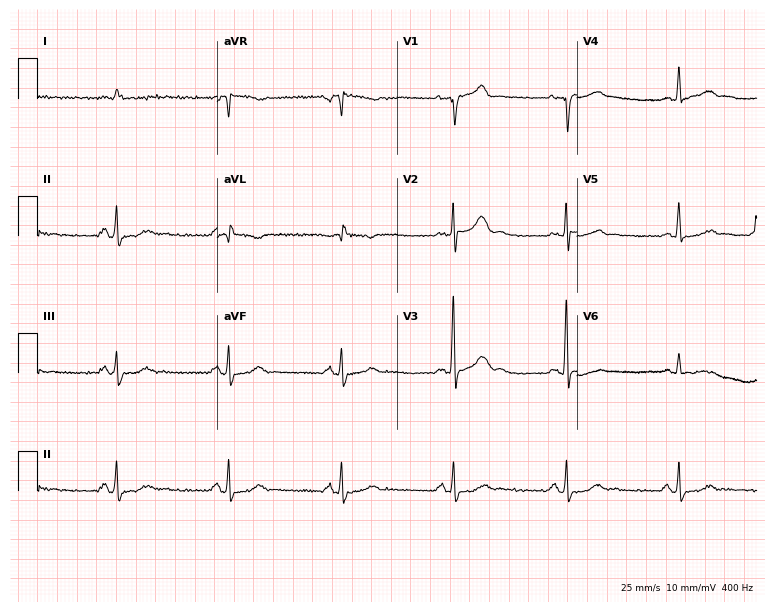
ECG (7.3-second recording at 400 Hz) — a male patient, 59 years old. Findings include sinus bradycardia (a sinus rate of 50 beats per minute or less).